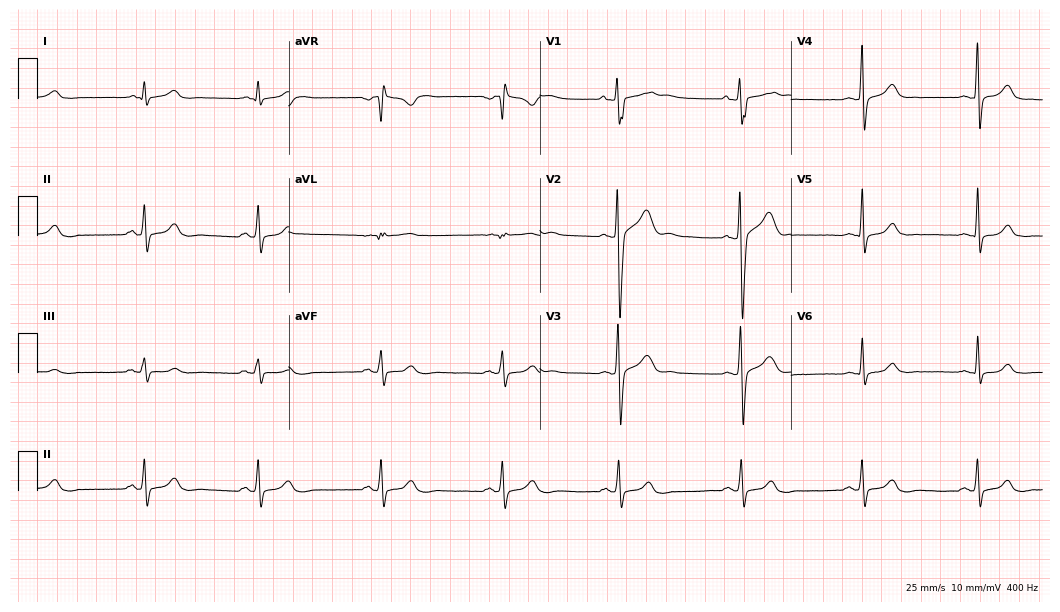
12-lead ECG from a man, 23 years old. Screened for six findings — first-degree AV block, right bundle branch block, left bundle branch block, sinus bradycardia, atrial fibrillation, sinus tachycardia — none is recorded.